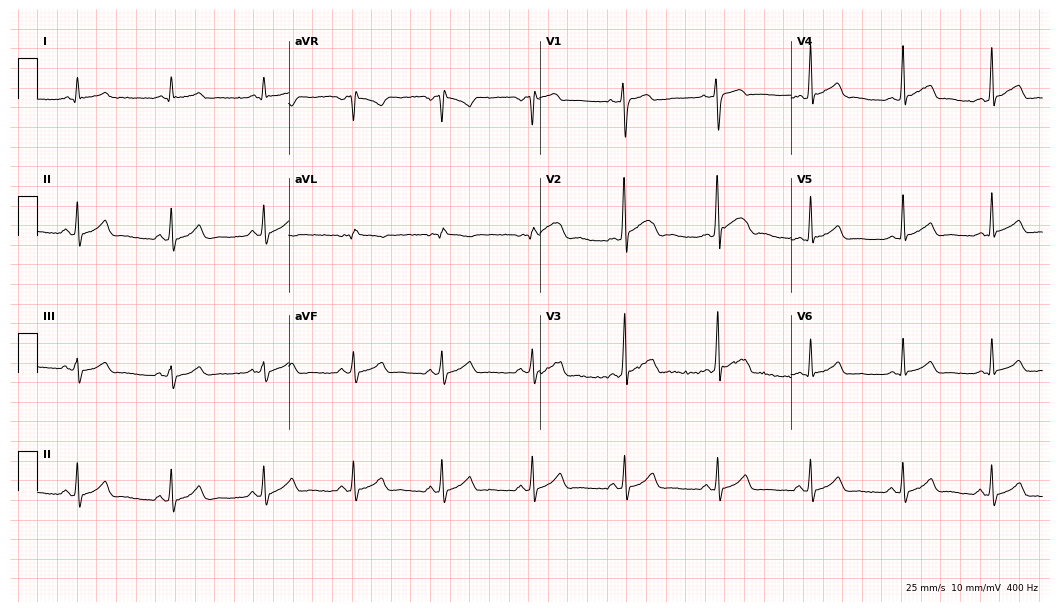
12-lead ECG (10.2-second recording at 400 Hz) from an 18-year-old man. Labelled as a normal ECG.